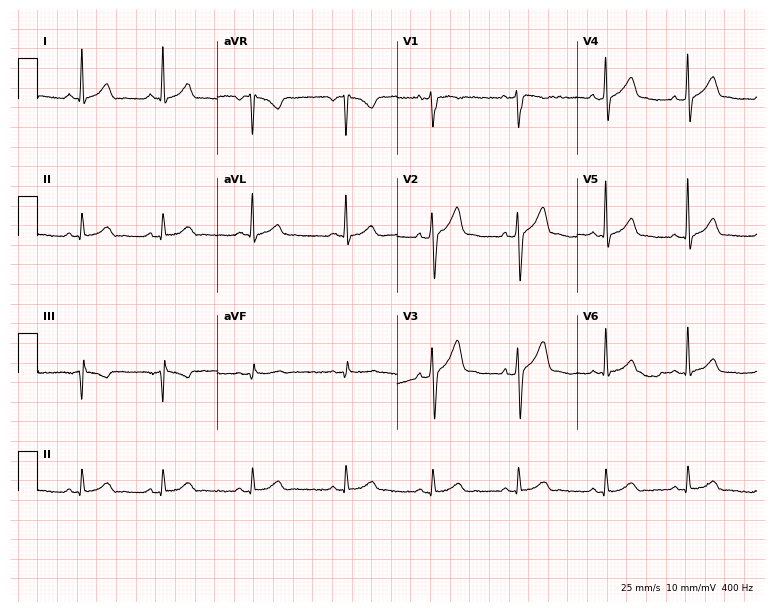
12-lead ECG from a man, 29 years old (7.3-second recording at 400 Hz). Recorded interpretation: within normal limits.